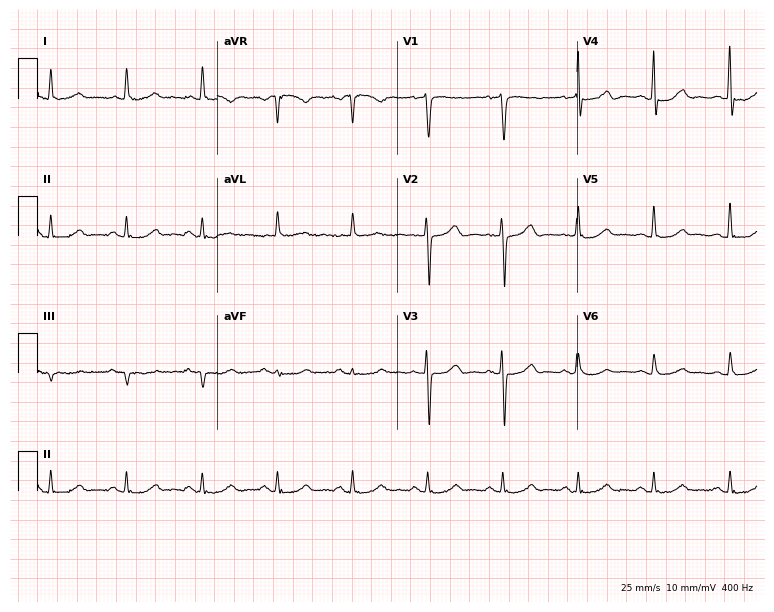
ECG (7.3-second recording at 400 Hz) — a 69-year-old female. Labelled as a normal ECG.